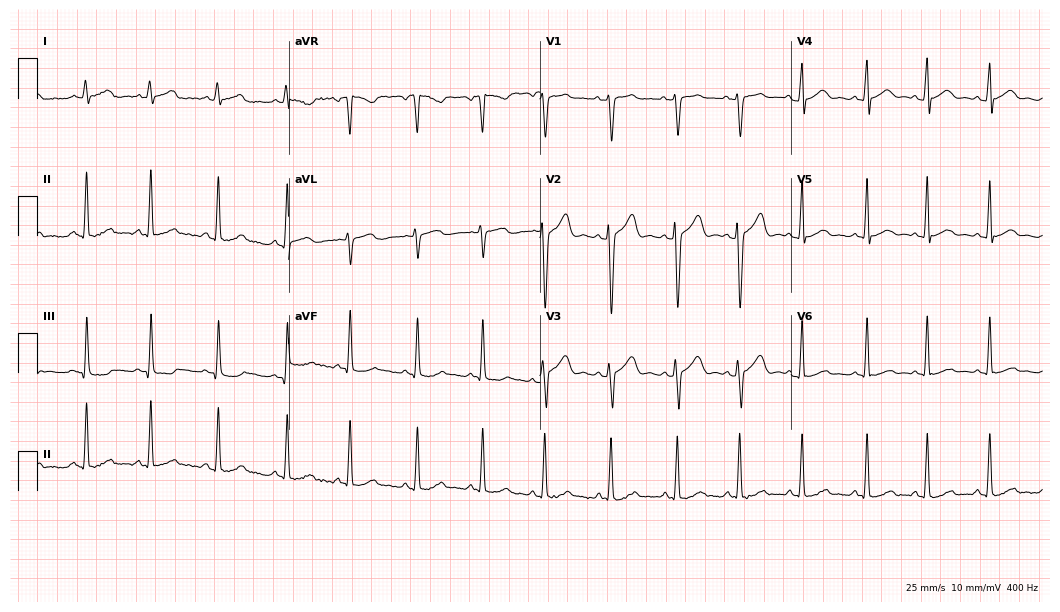
Electrocardiogram, a 22-year-old female patient. Overall reading on record: normal ECG.